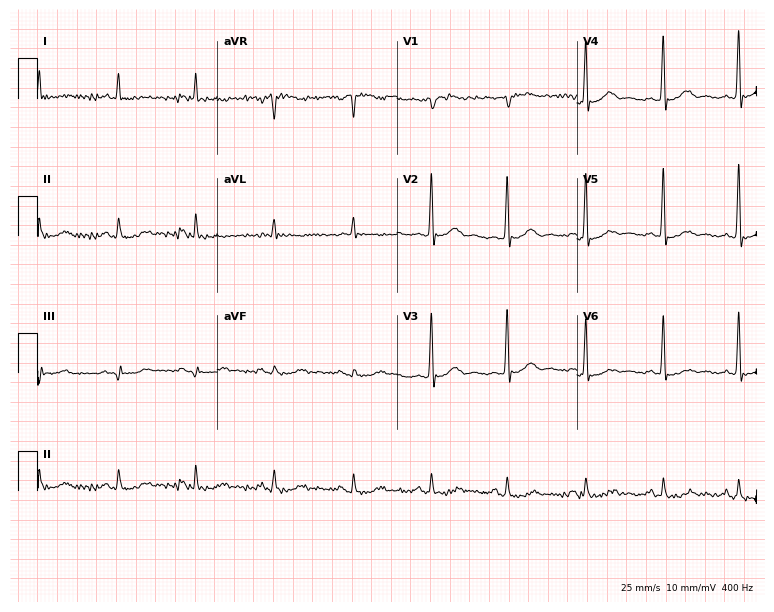
12-lead ECG from a female, 62 years old (7.3-second recording at 400 Hz). No first-degree AV block, right bundle branch block, left bundle branch block, sinus bradycardia, atrial fibrillation or sinus tachycardia recorded for this tracing. Findings outside these six are not listed.